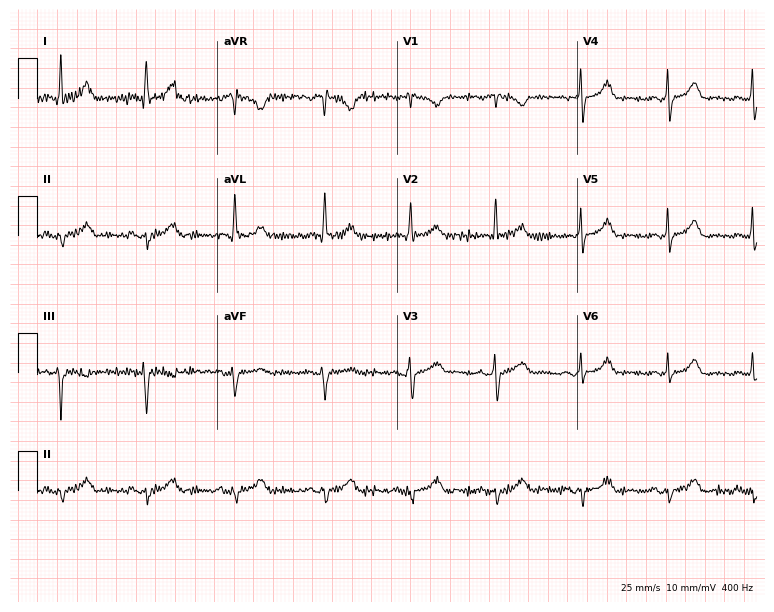
Resting 12-lead electrocardiogram. Patient: a female, 65 years old. None of these six findings is recorded: first-degree AV block, right bundle branch block (RBBB), left bundle branch block (LBBB), sinus bradycardia, atrial fibrillation (AF), sinus tachycardia. Only these six findings were labelled.